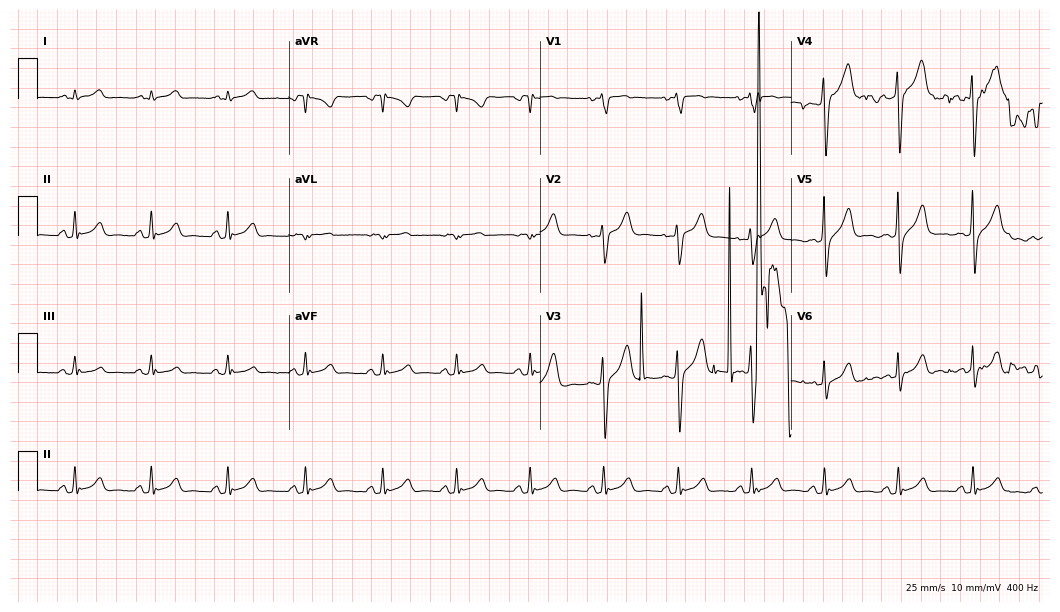
Resting 12-lead electrocardiogram. Patient: a male, 36 years old. None of these six findings is recorded: first-degree AV block, right bundle branch block, left bundle branch block, sinus bradycardia, atrial fibrillation, sinus tachycardia. Only these six findings were labelled.